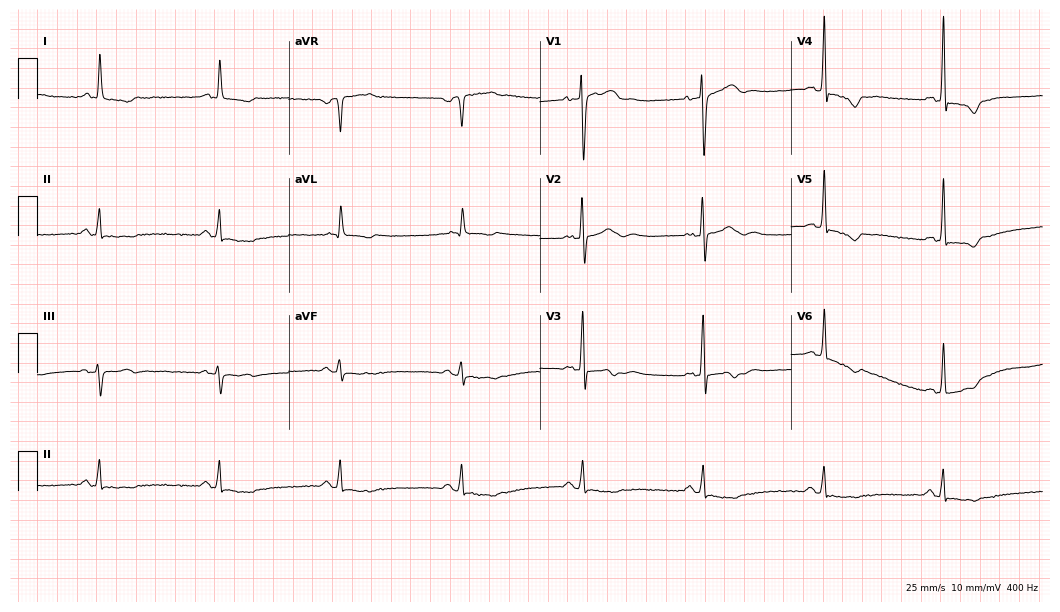
Standard 12-lead ECG recorded from an 83-year-old woman (10.2-second recording at 400 Hz). None of these six findings is recorded: first-degree AV block, right bundle branch block, left bundle branch block, sinus bradycardia, atrial fibrillation, sinus tachycardia.